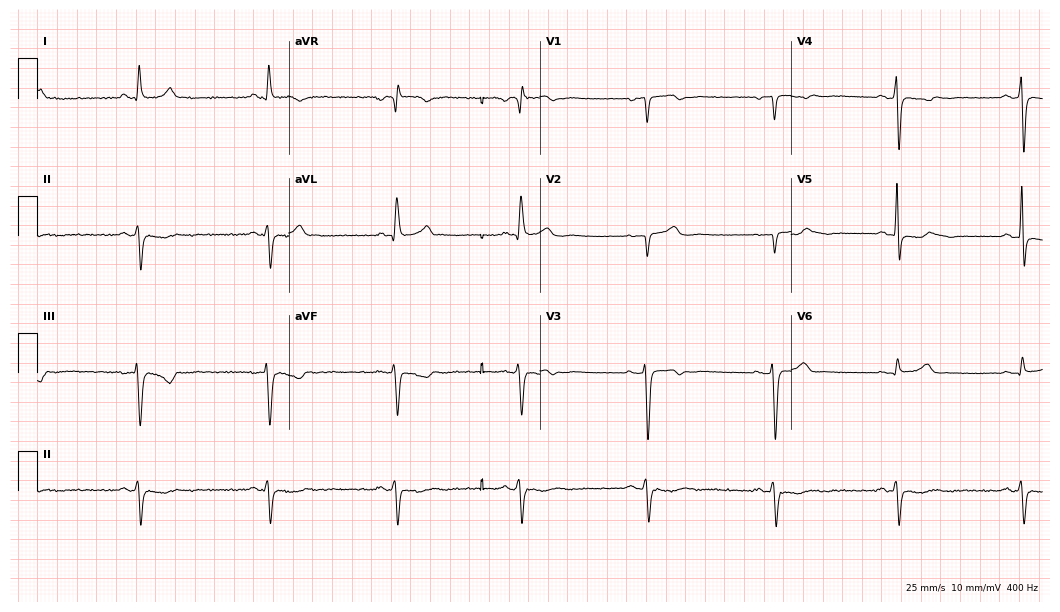
Electrocardiogram, a man, 61 years old. Interpretation includes sinus bradycardia (a sinus rate of 50 beats per minute or less).